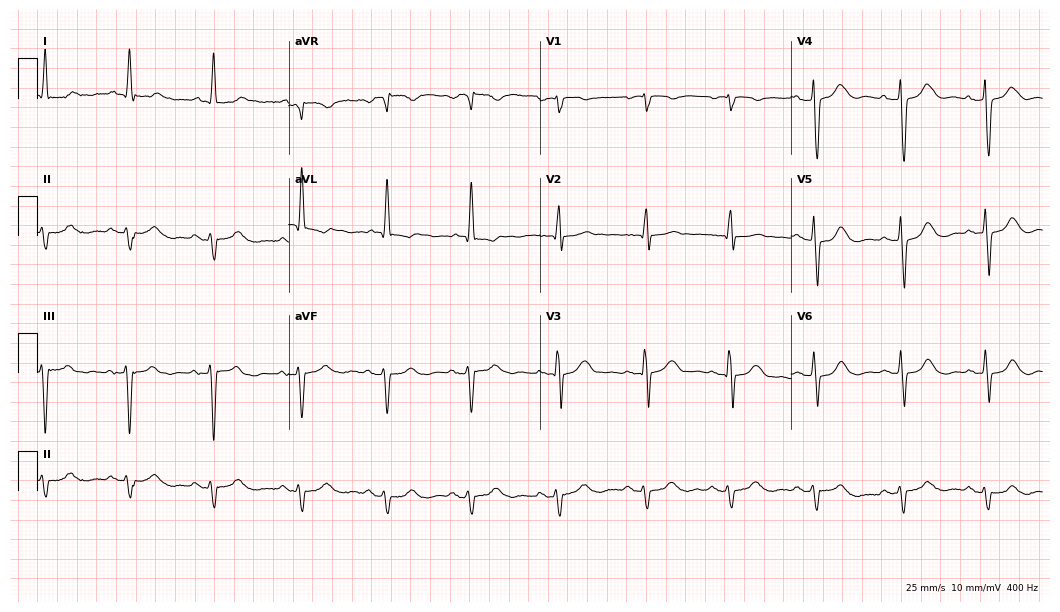
12-lead ECG from a male, 80 years old. Screened for six findings — first-degree AV block, right bundle branch block, left bundle branch block, sinus bradycardia, atrial fibrillation, sinus tachycardia — none is recorded. Findings outside these six are not listed.